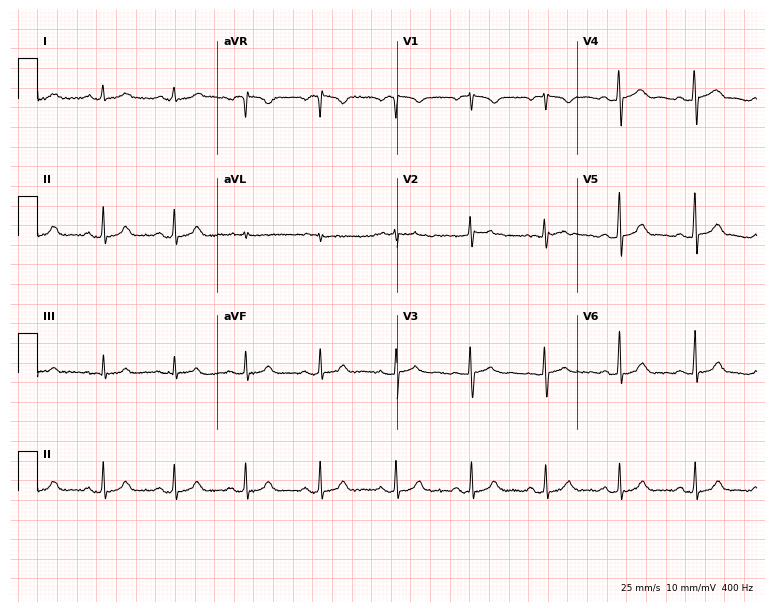
Standard 12-lead ECG recorded from a 39-year-old female (7.3-second recording at 400 Hz). Read as a normal ECG.